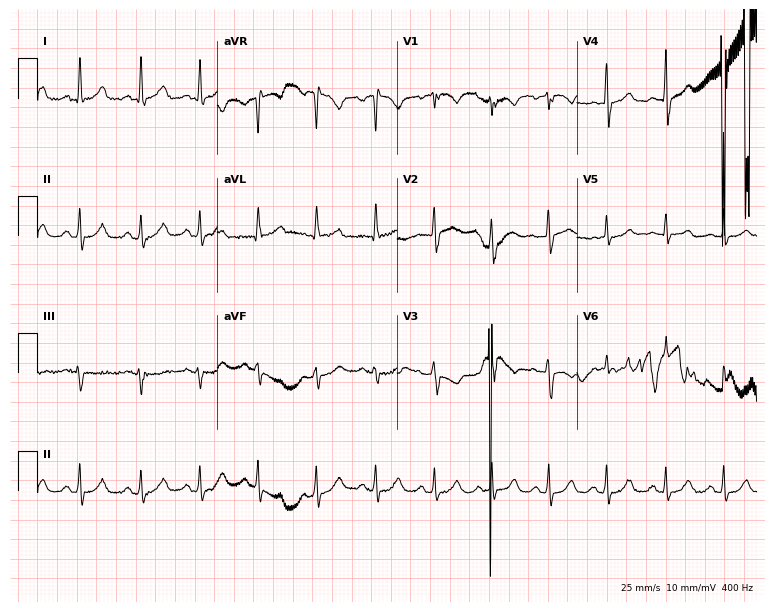
Resting 12-lead electrocardiogram (7.3-second recording at 400 Hz). Patient: a female, 39 years old. None of these six findings is recorded: first-degree AV block, right bundle branch block, left bundle branch block, sinus bradycardia, atrial fibrillation, sinus tachycardia. Other findings, if any, are not listed.